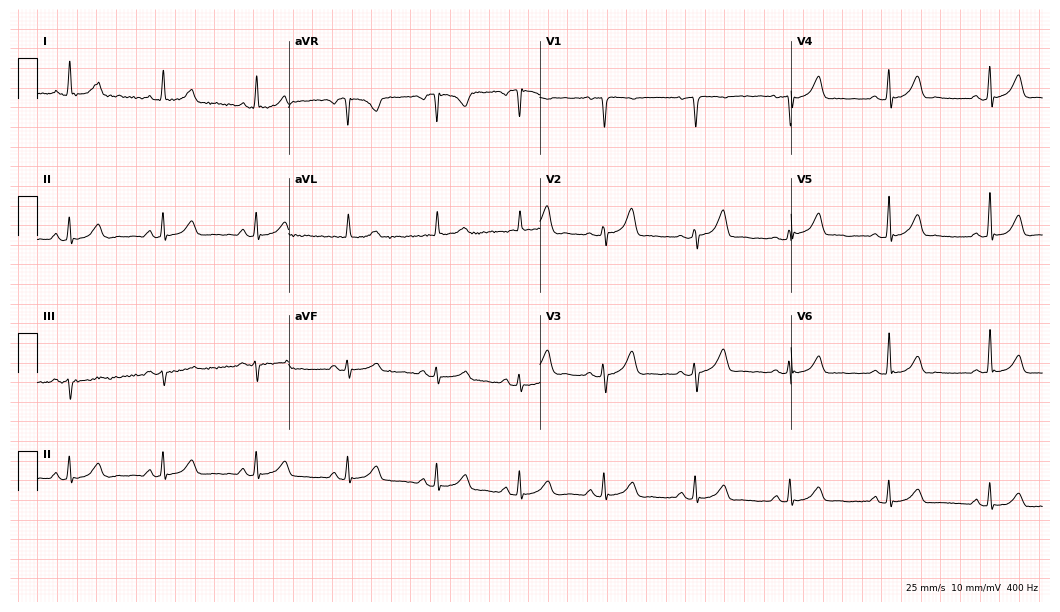
ECG — a 53-year-old female. Labelled as a normal ECG.